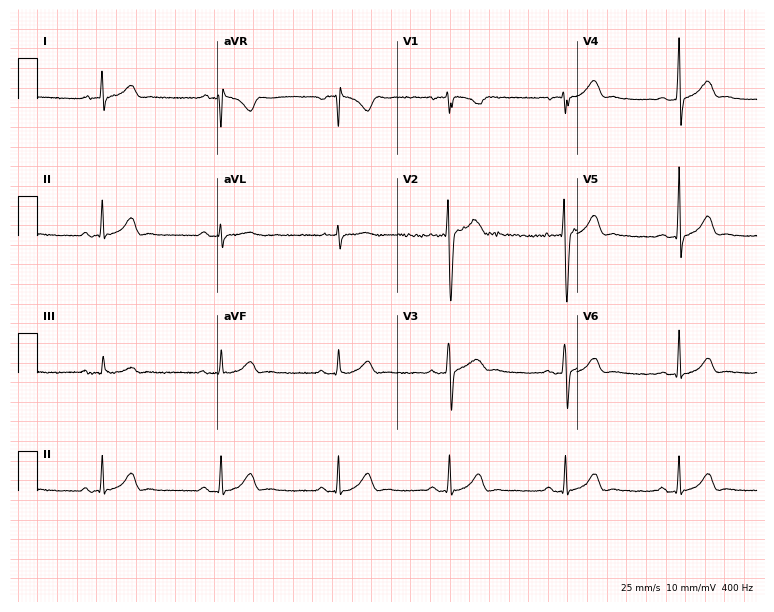
ECG — a male patient, 34 years old. Labelled as a normal ECG.